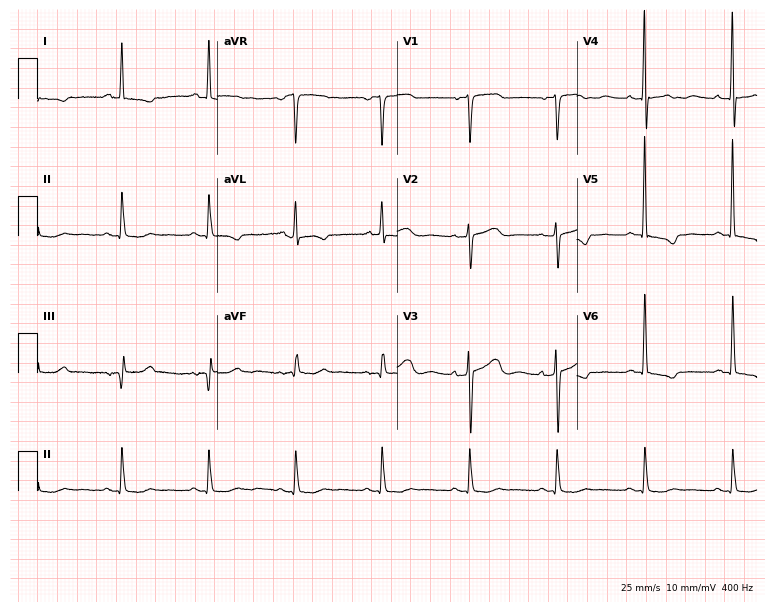
Standard 12-lead ECG recorded from a 67-year-old woman (7.3-second recording at 400 Hz). None of these six findings is recorded: first-degree AV block, right bundle branch block, left bundle branch block, sinus bradycardia, atrial fibrillation, sinus tachycardia. Other findings, if any, are not listed.